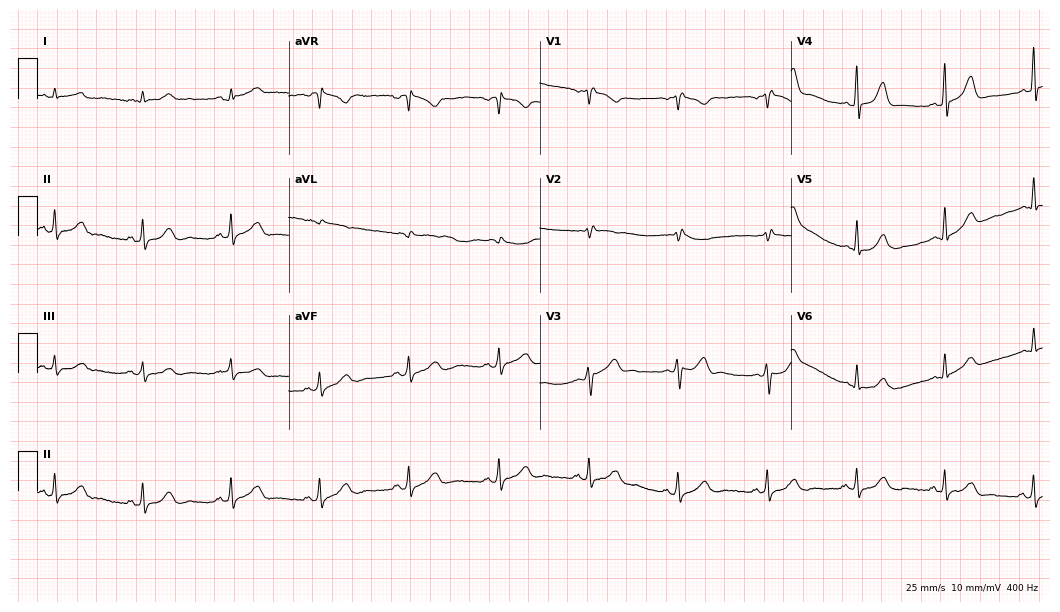
ECG (10.2-second recording at 400 Hz) — a male, 62 years old. Screened for six findings — first-degree AV block, right bundle branch block, left bundle branch block, sinus bradycardia, atrial fibrillation, sinus tachycardia — none is recorded. Findings outside these six are not listed.